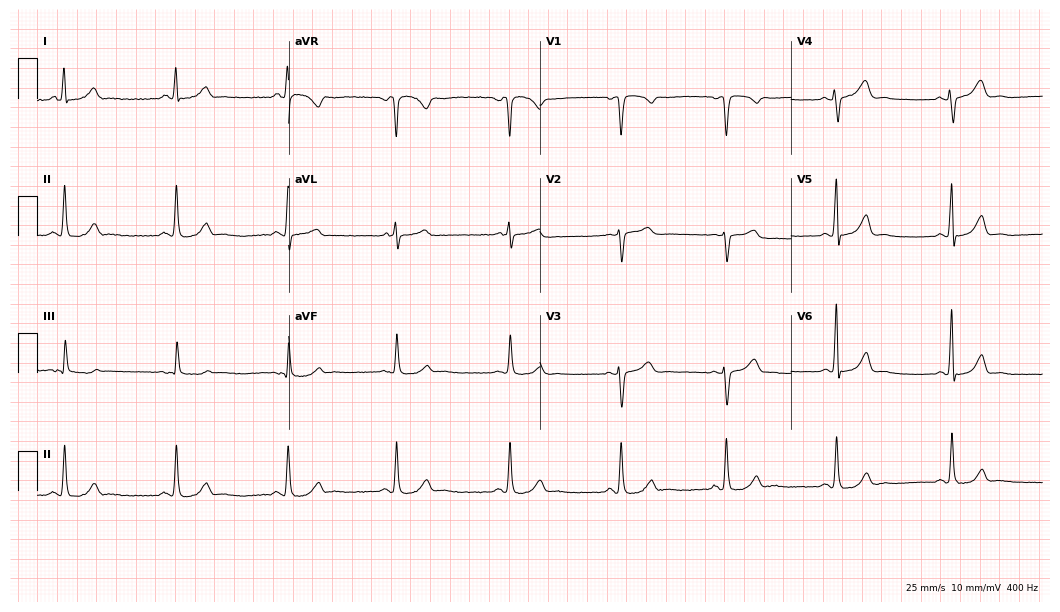
ECG (10.2-second recording at 400 Hz) — a 53-year-old female patient. Labelled as a normal ECG.